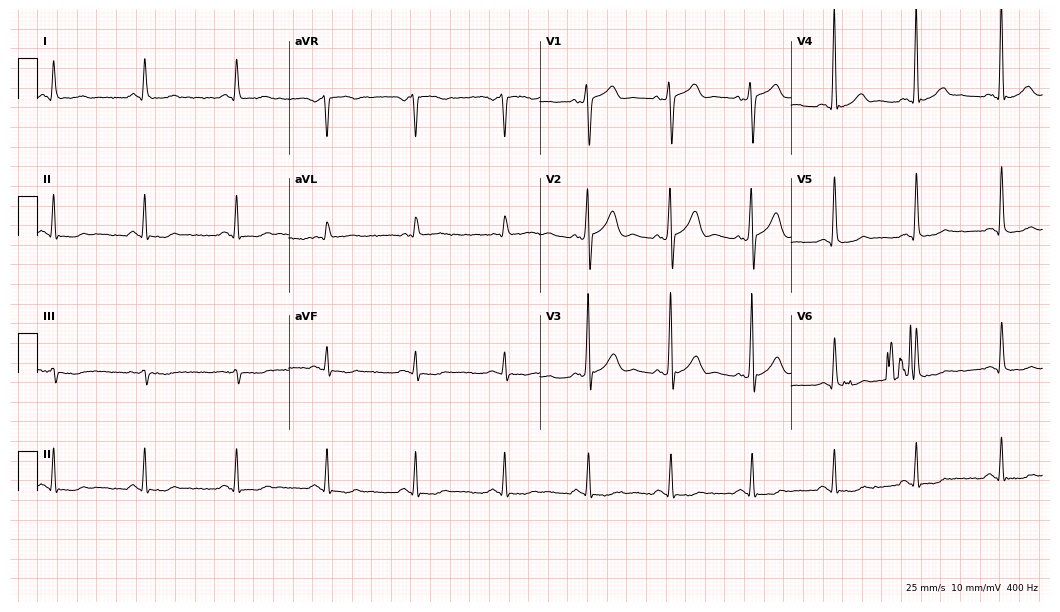
12-lead ECG from a man, 63 years old. Screened for six findings — first-degree AV block, right bundle branch block, left bundle branch block, sinus bradycardia, atrial fibrillation, sinus tachycardia — none is recorded. Findings outside these six are not listed.